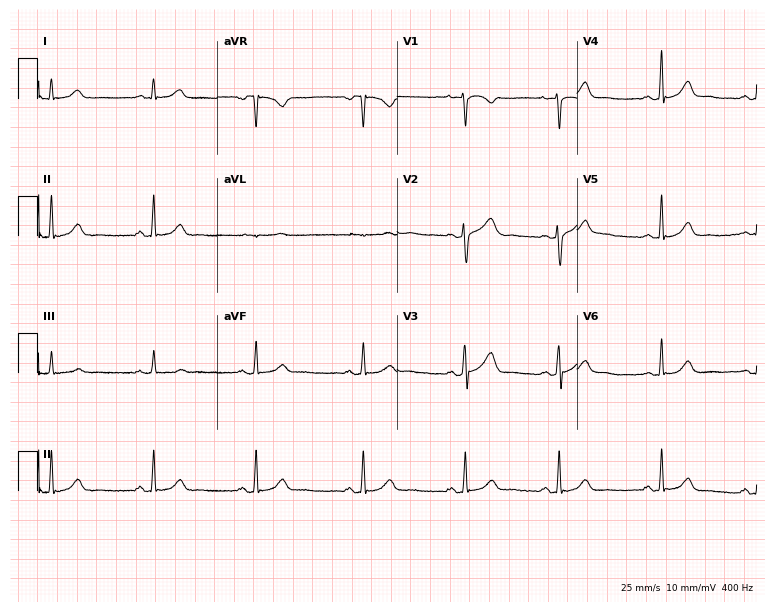
12-lead ECG from a woman, 19 years old. No first-degree AV block, right bundle branch block, left bundle branch block, sinus bradycardia, atrial fibrillation or sinus tachycardia recorded for this tracing.